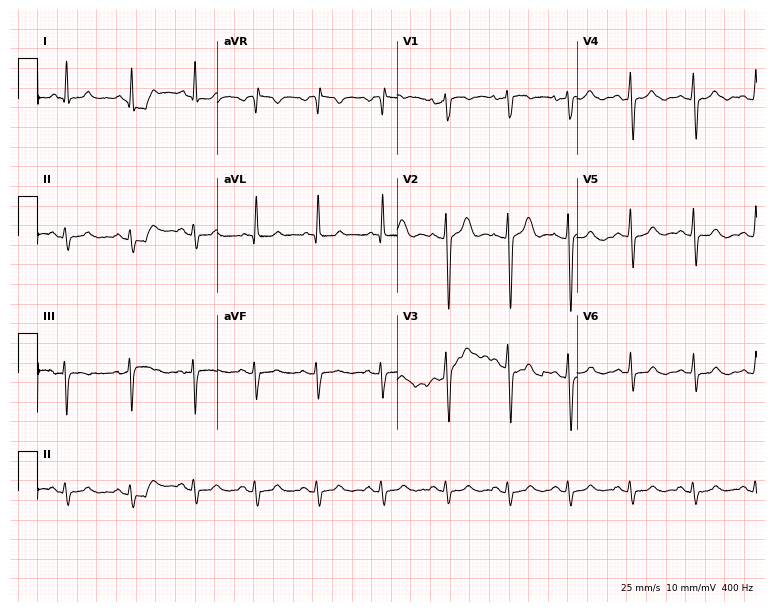
Resting 12-lead electrocardiogram. Patient: a 52-year-old male. None of these six findings is recorded: first-degree AV block, right bundle branch block, left bundle branch block, sinus bradycardia, atrial fibrillation, sinus tachycardia.